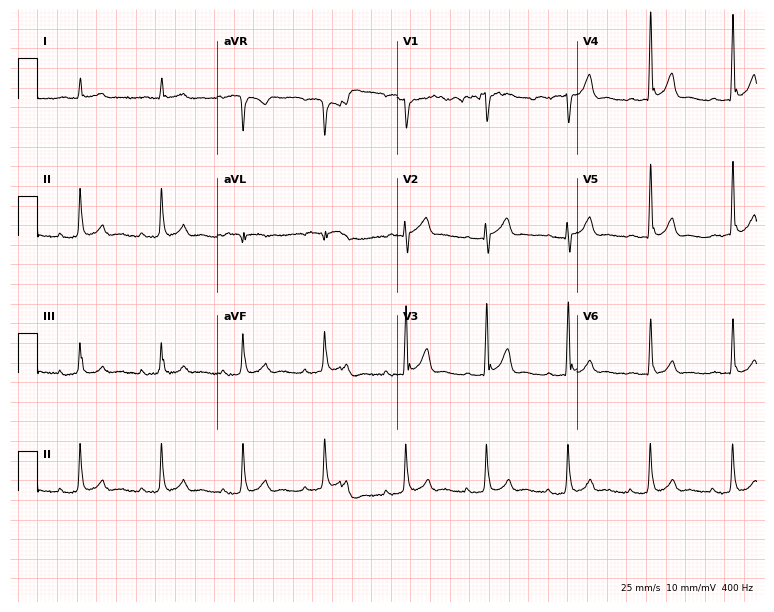
ECG — a male patient, 71 years old. Screened for six findings — first-degree AV block, right bundle branch block (RBBB), left bundle branch block (LBBB), sinus bradycardia, atrial fibrillation (AF), sinus tachycardia — none is recorded.